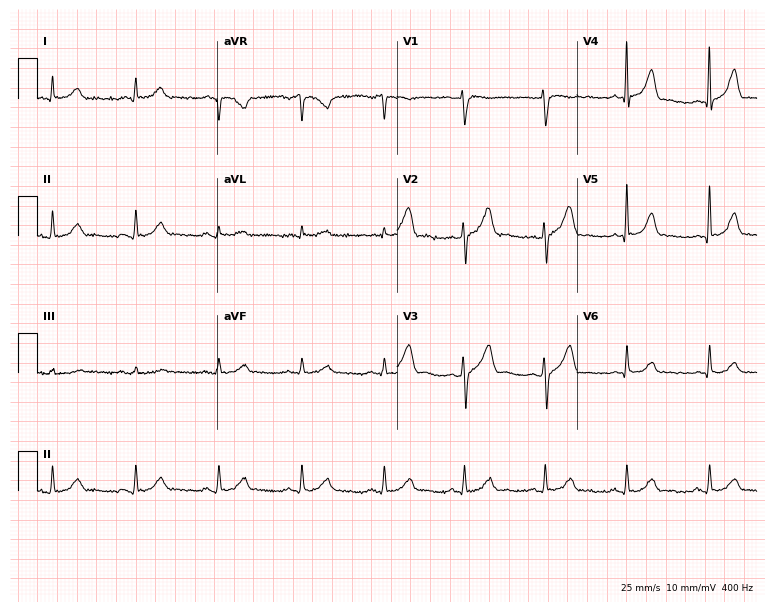
12-lead ECG from a 56-year-old male. Recorded interpretation: within normal limits.